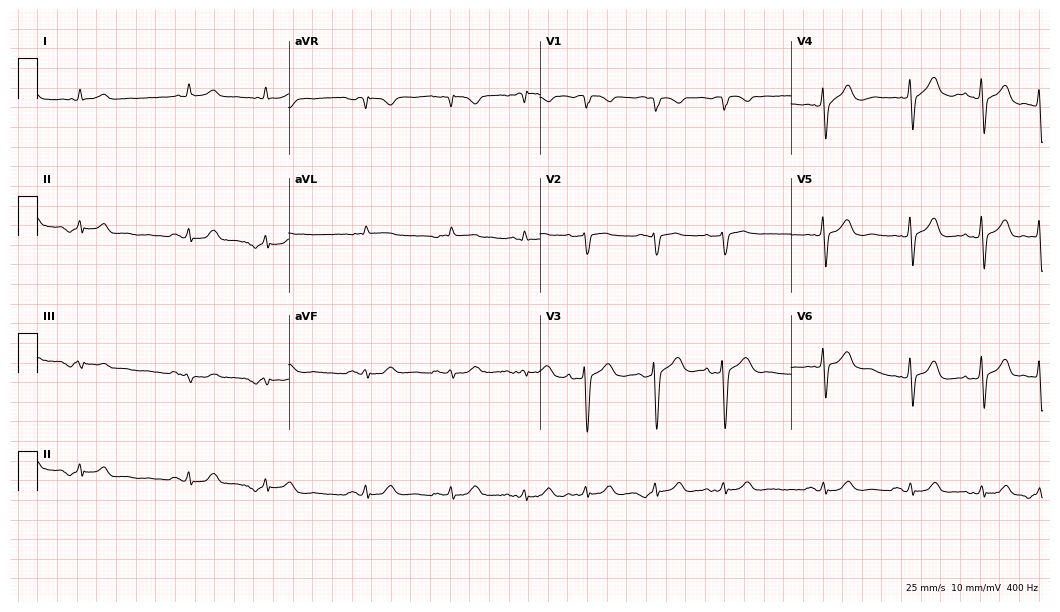
Electrocardiogram, a male, 82 years old. Of the six screened findings (first-degree AV block, right bundle branch block, left bundle branch block, sinus bradycardia, atrial fibrillation, sinus tachycardia), none is recorded.